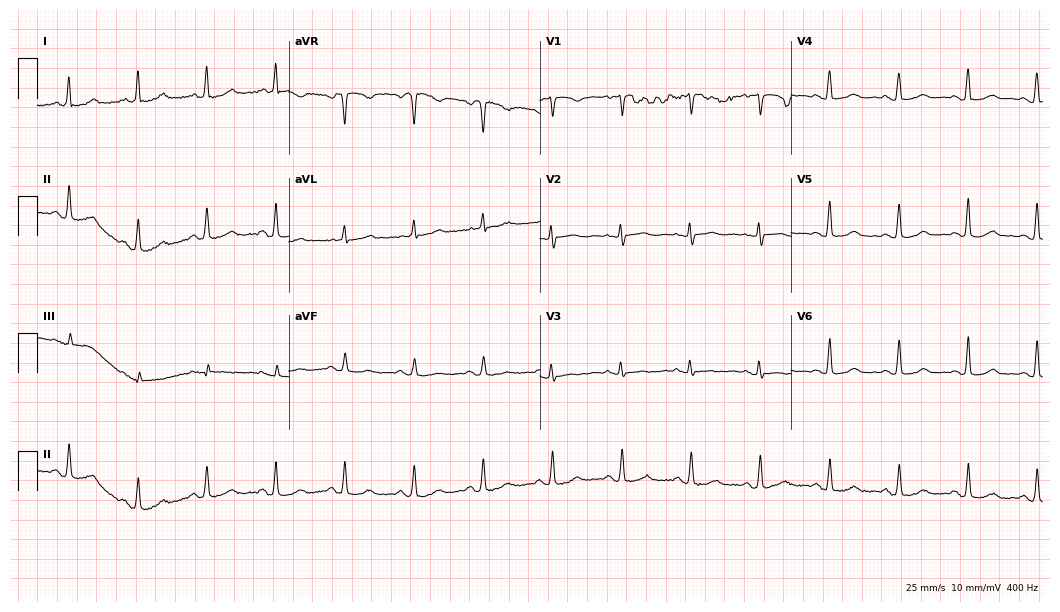
Resting 12-lead electrocardiogram. Patient: a 62-year-old female. None of these six findings is recorded: first-degree AV block, right bundle branch block, left bundle branch block, sinus bradycardia, atrial fibrillation, sinus tachycardia. Only these six findings were labelled.